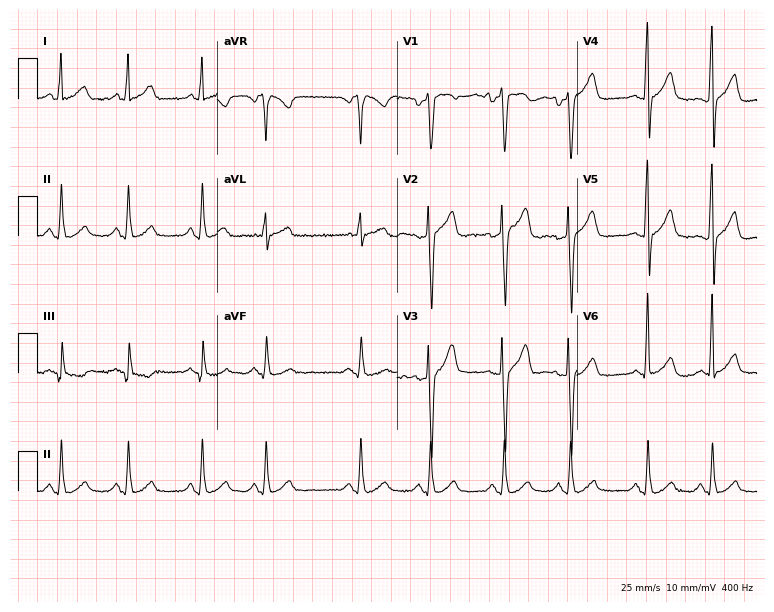
Standard 12-lead ECG recorded from a 35-year-old man. None of these six findings is recorded: first-degree AV block, right bundle branch block, left bundle branch block, sinus bradycardia, atrial fibrillation, sinus tachycardia.